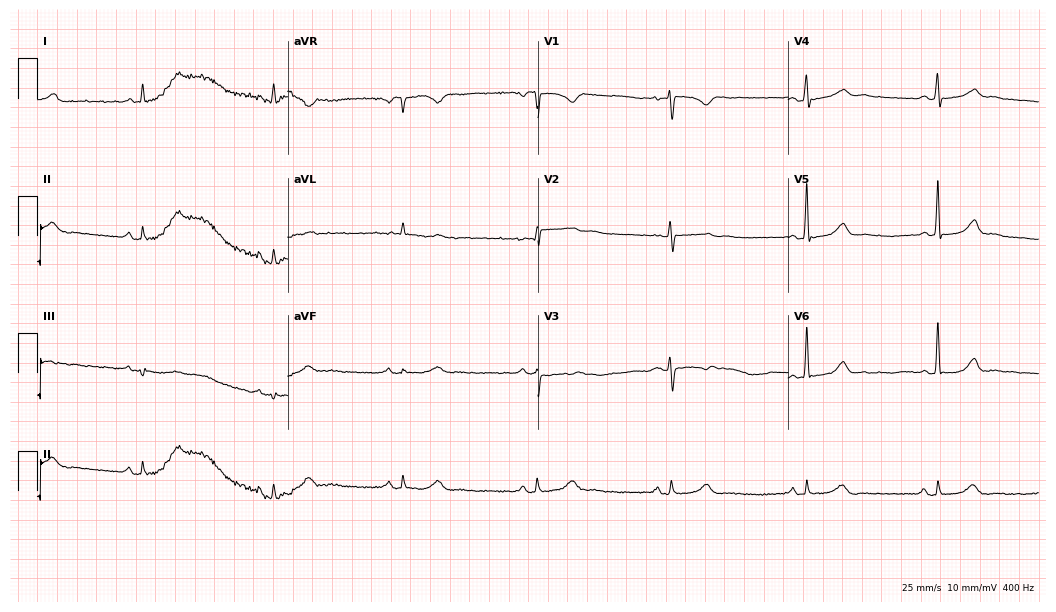
Resting 12-lead electrocardiogram (10.2-second recording at 400 Hz). Patient: a 67-year-old woman. The tracing shows sinus bradycardia (a sinus rate of 50 beats per minute or less).